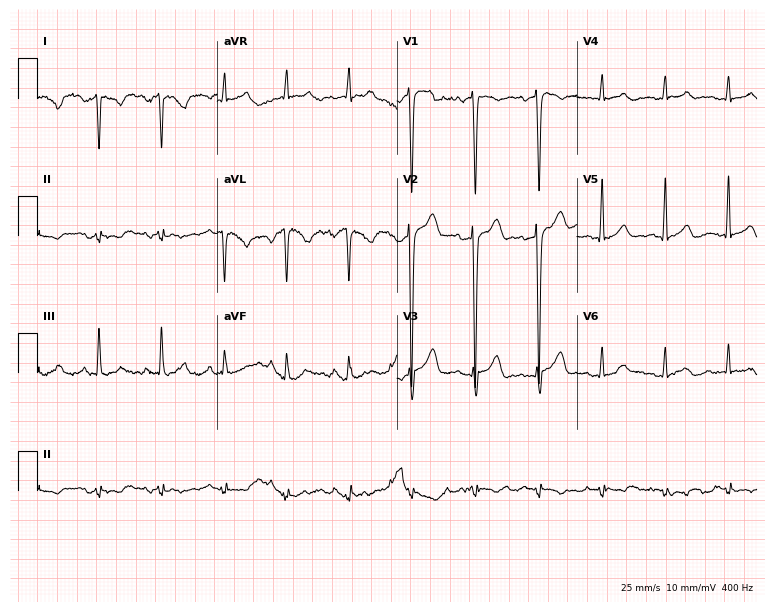
ECG — a male patient, 44 years old. Screened for six findings — first-degree AV block, right bundle branch block, left bundle branch block, sinus bradycardia, atrial fibrillation, sinus tachycardia — none is recorded.